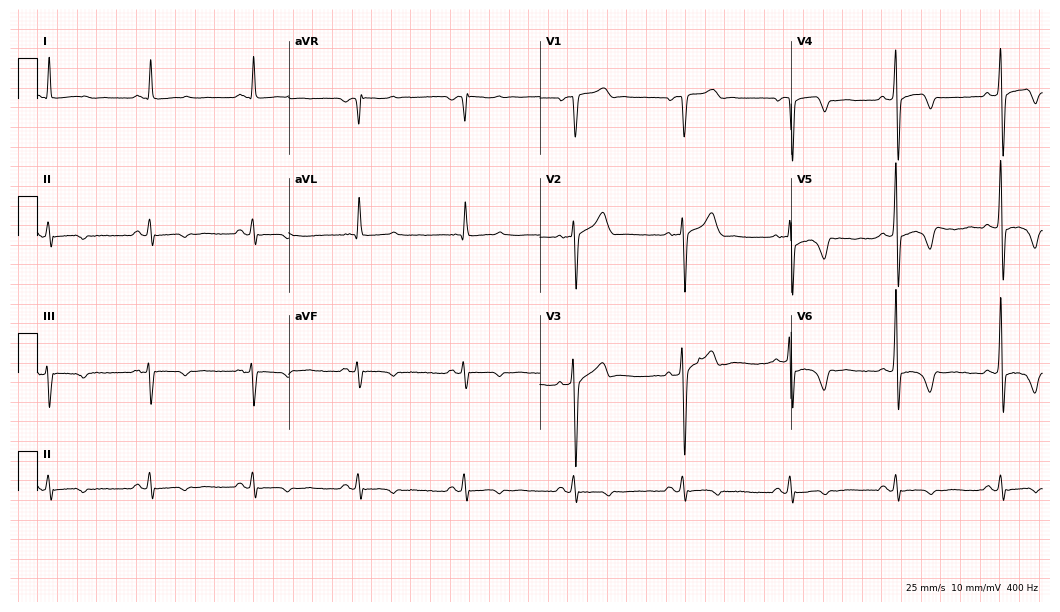
Standard 12-lead ECG recorded from a 56-year-old man (10.2-second recording at 400 Hz). None of these six findings is recorded: first-degree AV block, right bundle branch block, left bundle branch block, sinus bradycardia, atrial fibrillation, sinus tachycardia. Other findings, if any, are not listed.